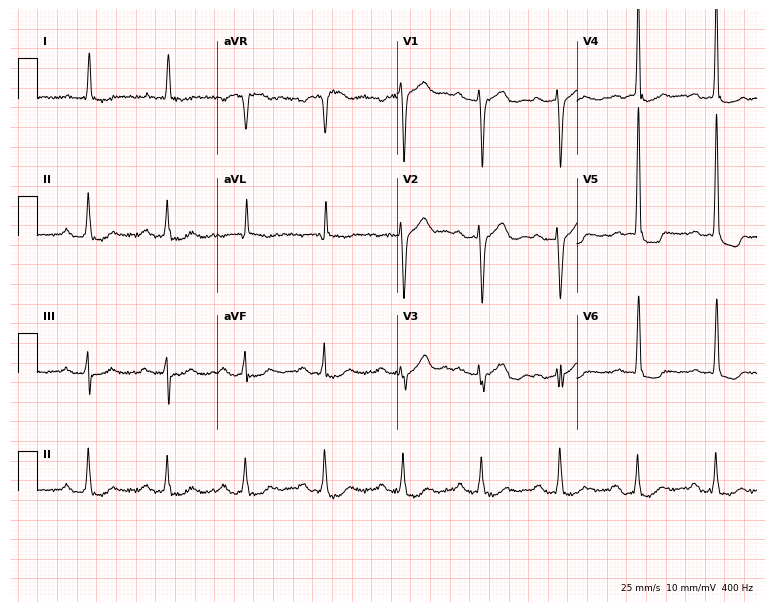
12-lead ECG from an 85-year-old male patient. Findings include first-degree AV block.